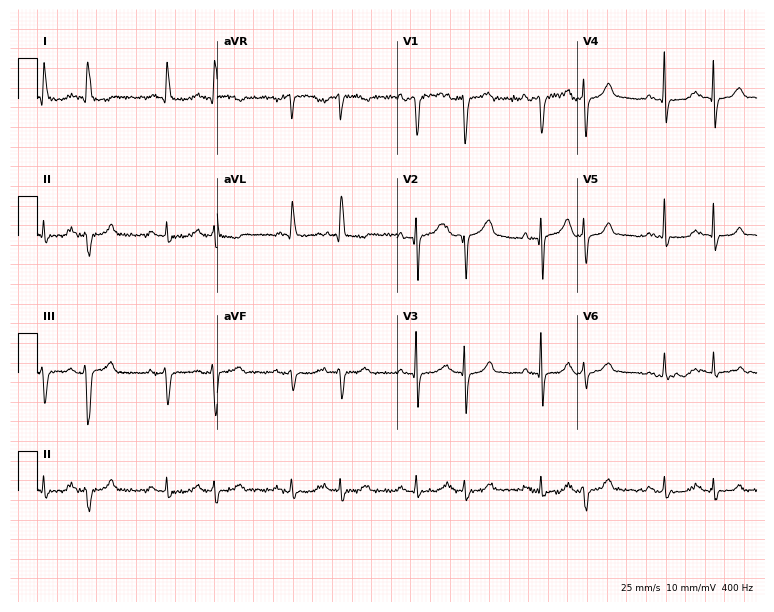
Resting 12-lead electrocardiogram. Patient: an 83-year-old male. None of these six findings is recorded: first-degree AV block, right bundle branch block, left bundle branch block, sinus bradycardia, atrial fibrillation, sinus tachycardia.